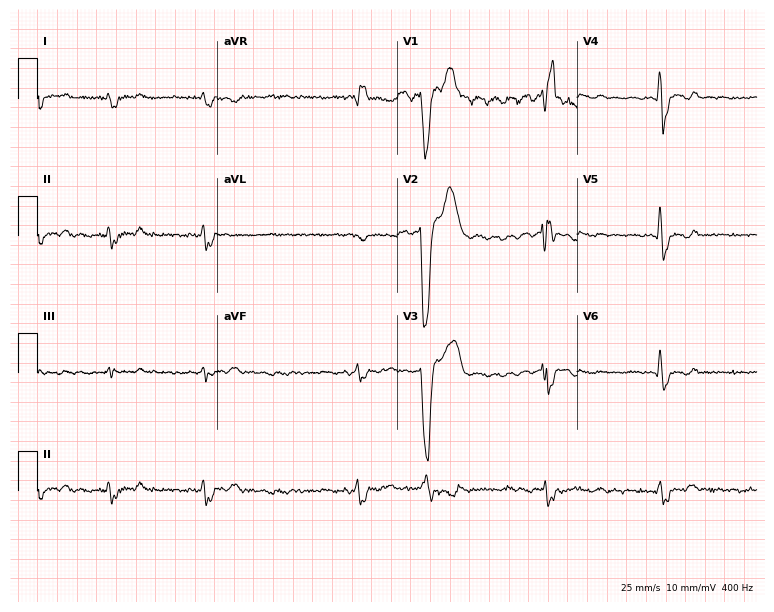
ECG (7.3-second recording at 400 Hz) — a male, 55 years old. Findings include right bundle branch block, atrial fibrillation.